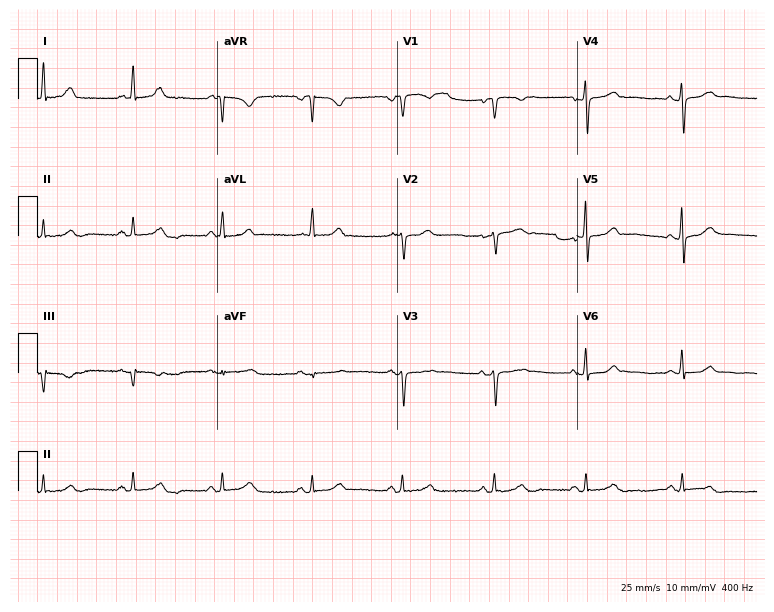
Resting 12-lead electrocardiogram (7.3-second recording at 400 Hz). Patient: a female, 68 years old. Read as a normal ECG.